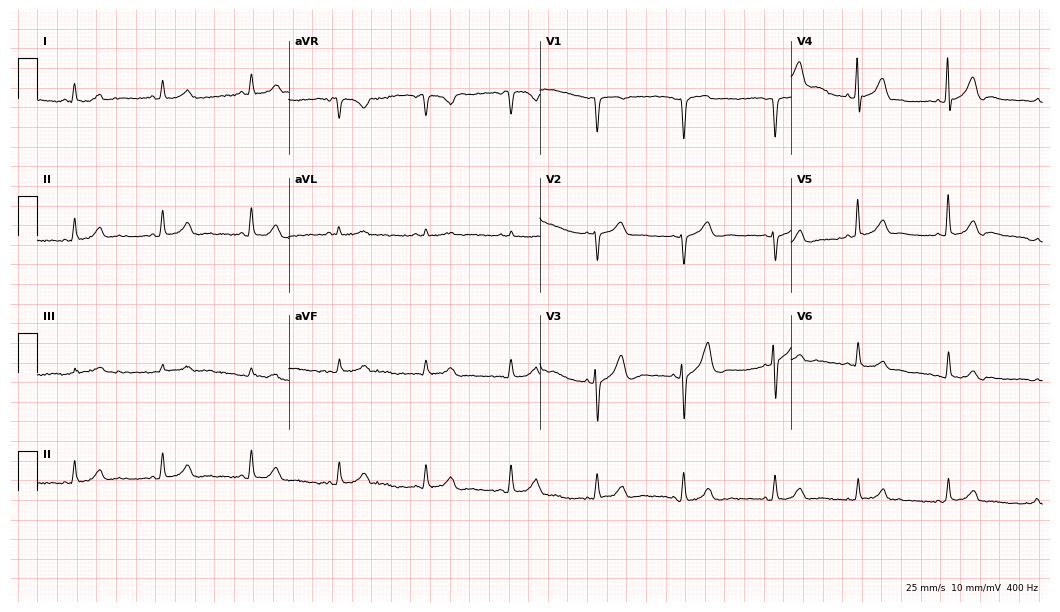
12-lead ECG from a 74-year-old male (10.2-second recording at 400 Hz). No first-degree AV block, right bundle branch block, left bundle branch block, sinus bradycardia, atrial fibrillation or sinus tachycardia recorded for this tracing. Other findings, if any, are not listed.